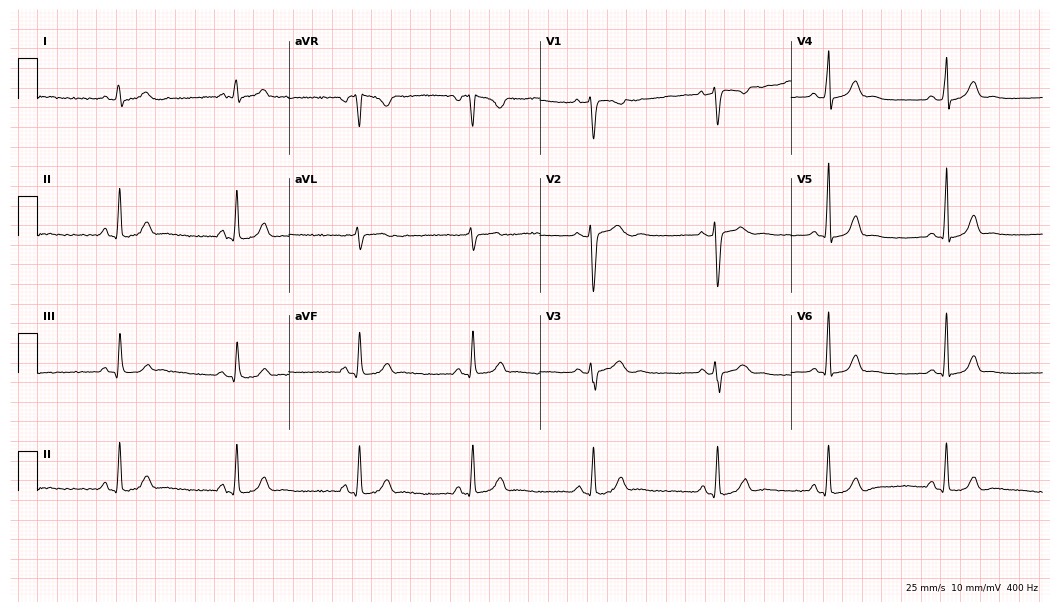
Electrocardiogram (10.2-second recording at 400 Hz), a female, 34 years old. Interpretation includes sinus bradycardia (a sinus rate of 50 beats per minute or less).